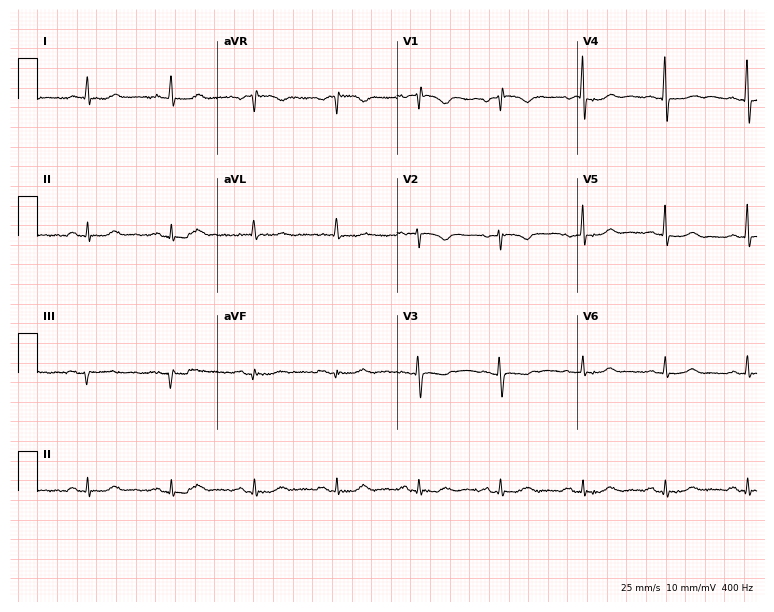
12-lead ECG from a woman, 80 years old. No first-degree AV block, right bundle branch block, left bundle branch block, sinus bradycardia, atrial fibrillation or sinus tachycardia recorded for this tracing.